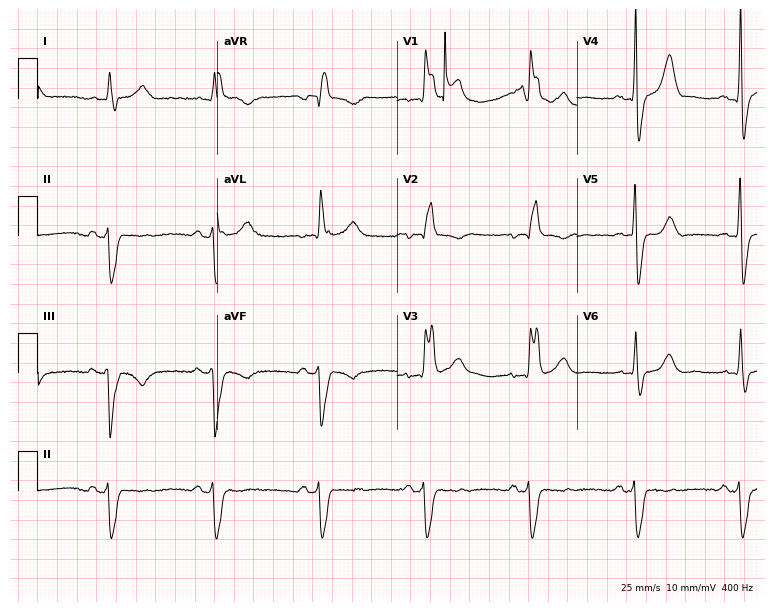
Standard 12-lead ECG recorded from a 50-year-old male. The tracing shows right bundle branch block.